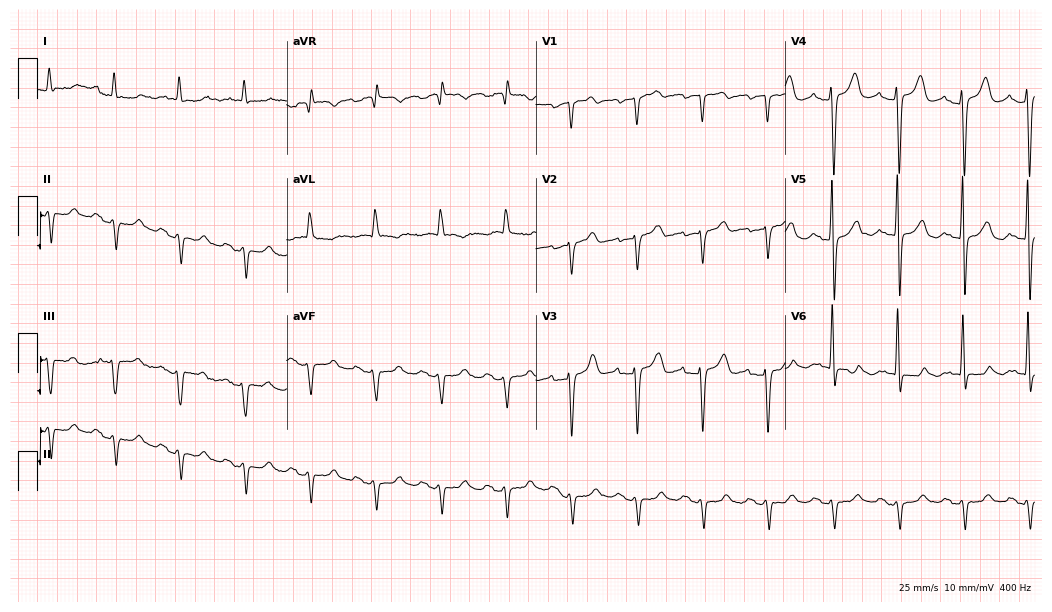
Electrocardiogram (10.2-second recording at 400 Hz), a man, 87 years old. Of the six screened findings (first-degree AV block, right bundle branch block, left bundle branch block, sinus bradycardia, atrial fibrillation, sinus tachycardia), none is recorded. Findings outside these six are not listed.